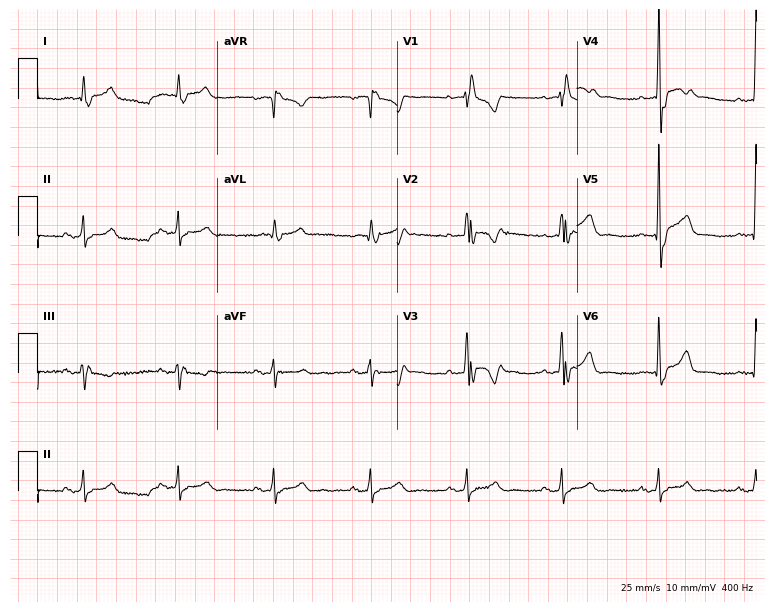
12-lead ECG from a 57-year-old male. Shows right bundle branch block (RBBB).